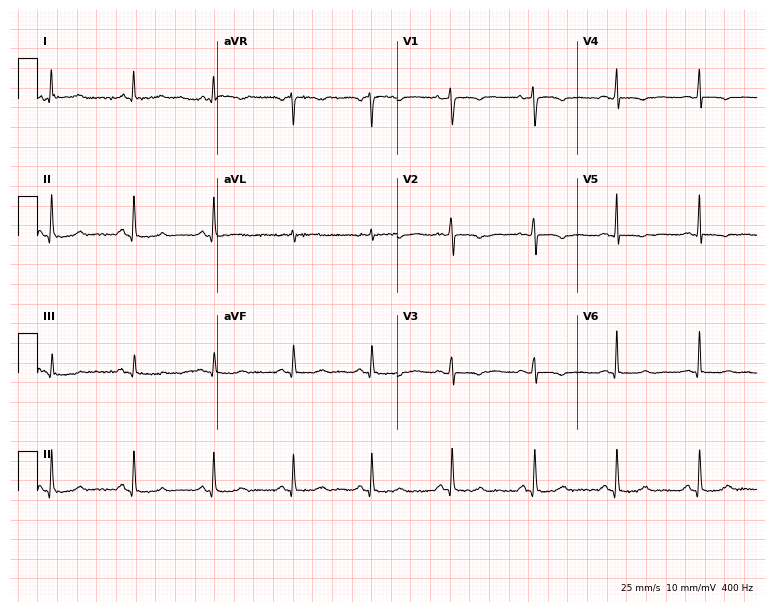
Resting 12-lead electrocardiogram (7.3-second recording at 400 Hz). Patient: a female, 45 years old. None of these six findings is recorded: first-degree AV block, right bundle branch block, left bundle branch block, sinus bradycardia, atrial fibrillation, sinus tachycardia.